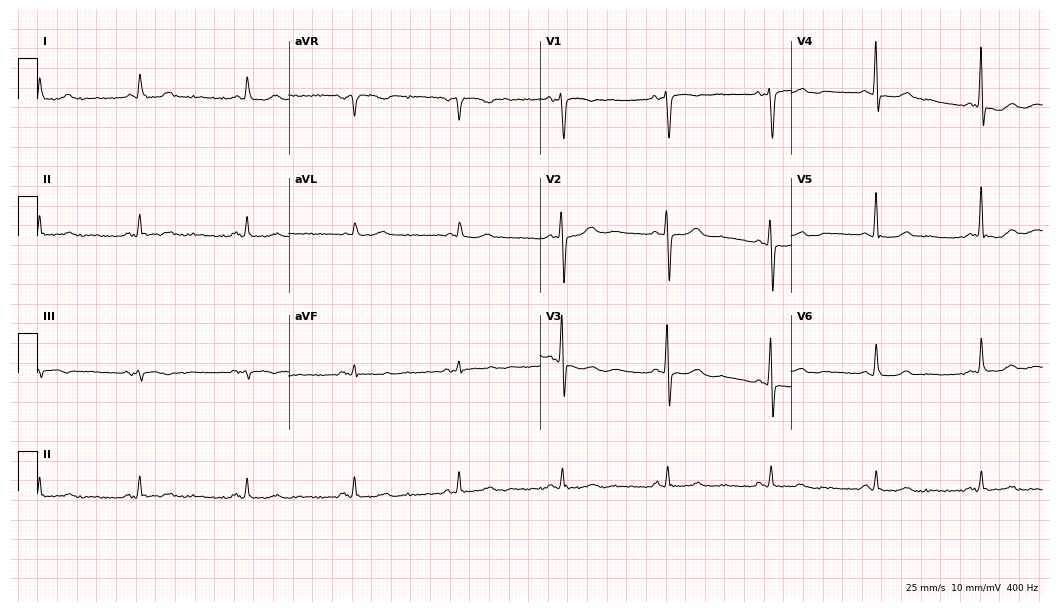
Standard 12-lead ECG recorded from a male patient, 70 years old. Read as a normal ECG.